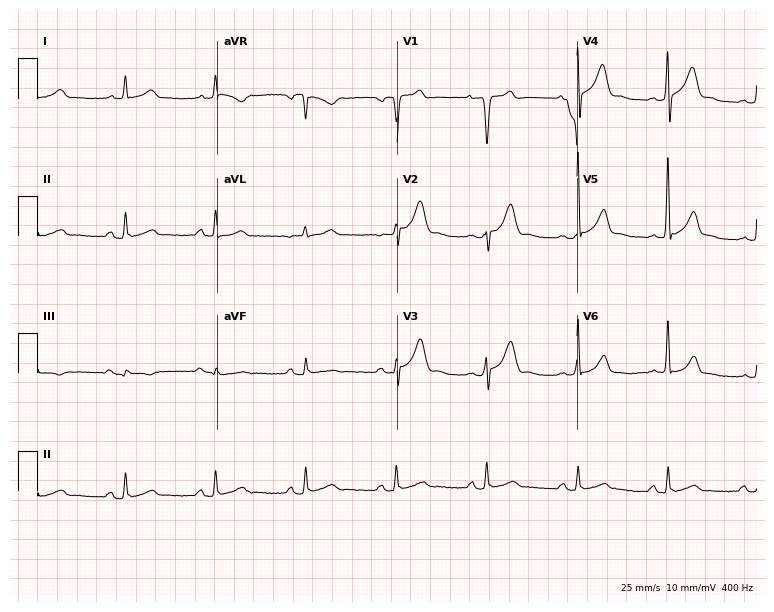
Electrocardiogram, a male, 81 years old. Of the six screened findings (first-degree AV block, right bundle branch block (RBBB), left bundle branch block (LBBB), sinus bradycardia, atrial fibrillation (AF), sinus tachycardia), none is recorded.